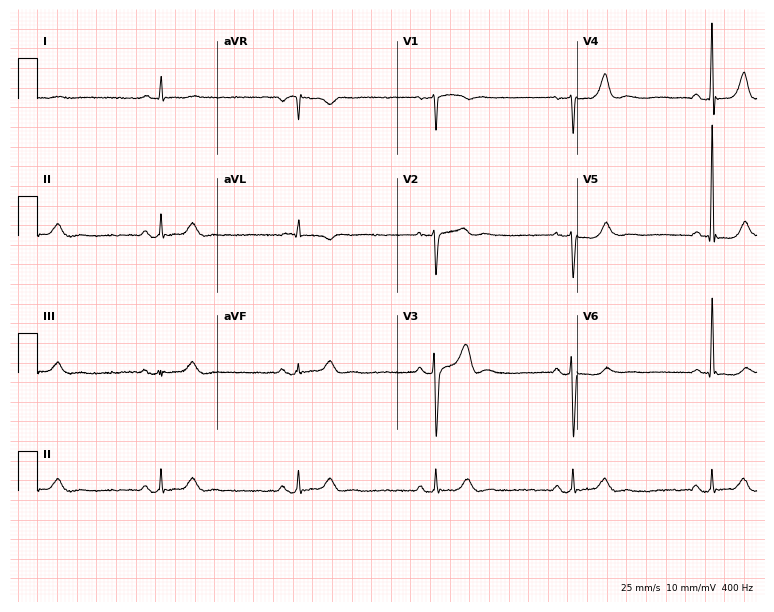
ECG — a 64-year-old male. Findings include sinus bradycardia (a sinus rate of 50 beats per minute or less).